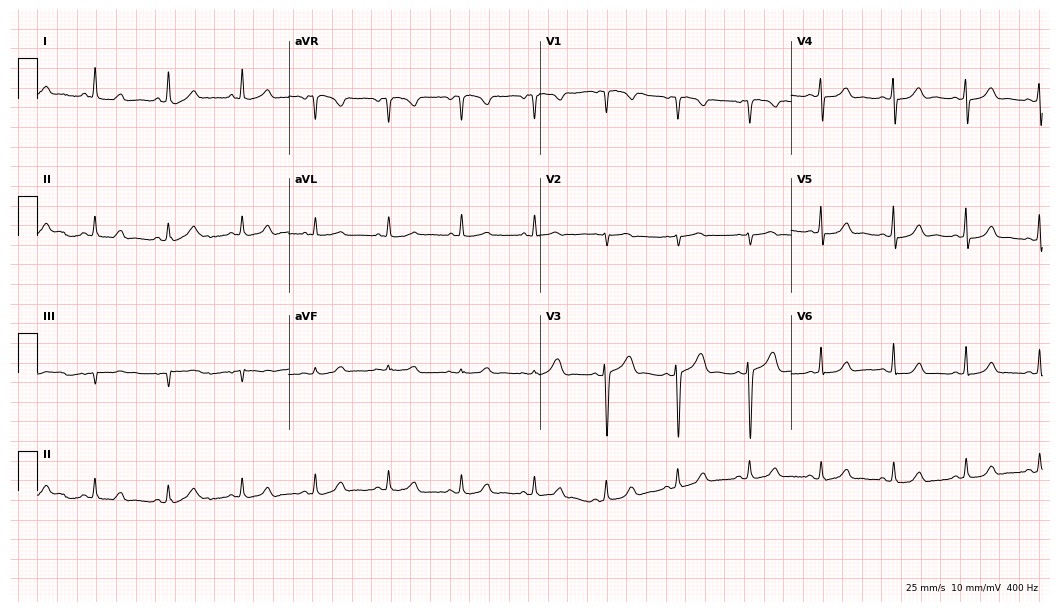
ECG (10.2-second recording at 400 Hz) — a 61-year-old female patient. Screened for six findings — first-degree AV block, right bundle branch block (RBBB), left bundle branch block (LBBB), sinus bradycardia, atrial fibrillation (AF), sinus tachycardia — none is recorded. Only these six findings were labelled.